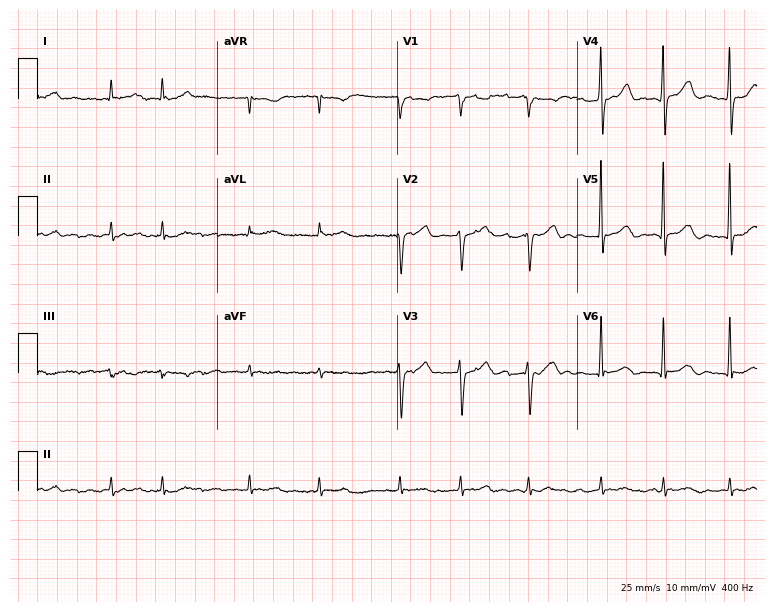
Resting 12-lead electrocardiogram. Patient: a 77-year-old male. The tracing shows atrial fibrillation.